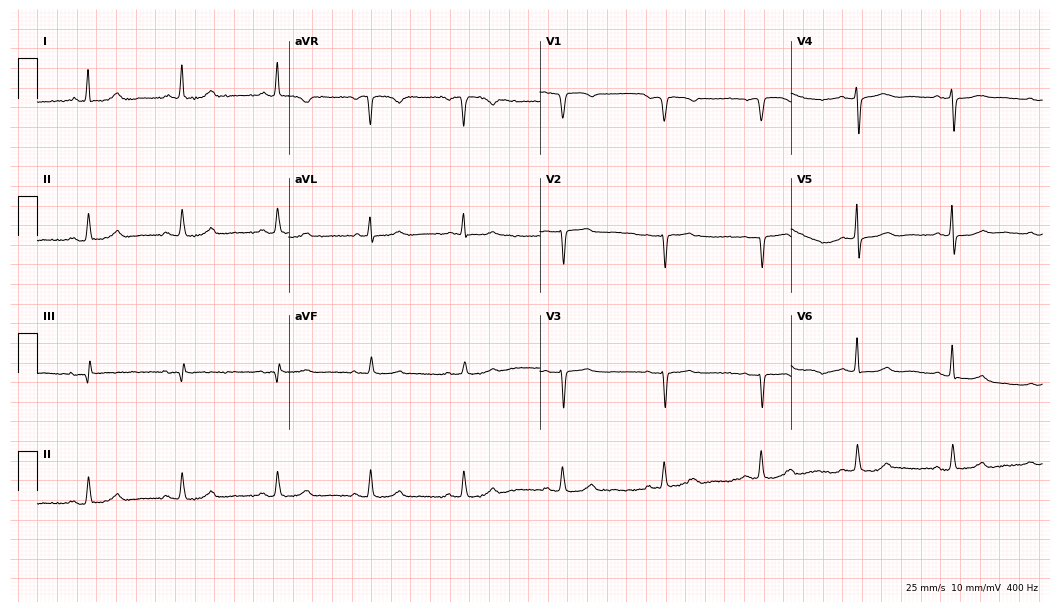
Standard 12-lead ECG recorded from a 61-year-old woman (10.2-second recording at 400 Hz). None of these six findings is recorded: first-degree AV block, right bundle branch block (RBBB), left bundle branch block (LBBB), sinus bradycardia, atrial fibrillation (AF), sinus tachycardia. Other findings, if any, are not listed.